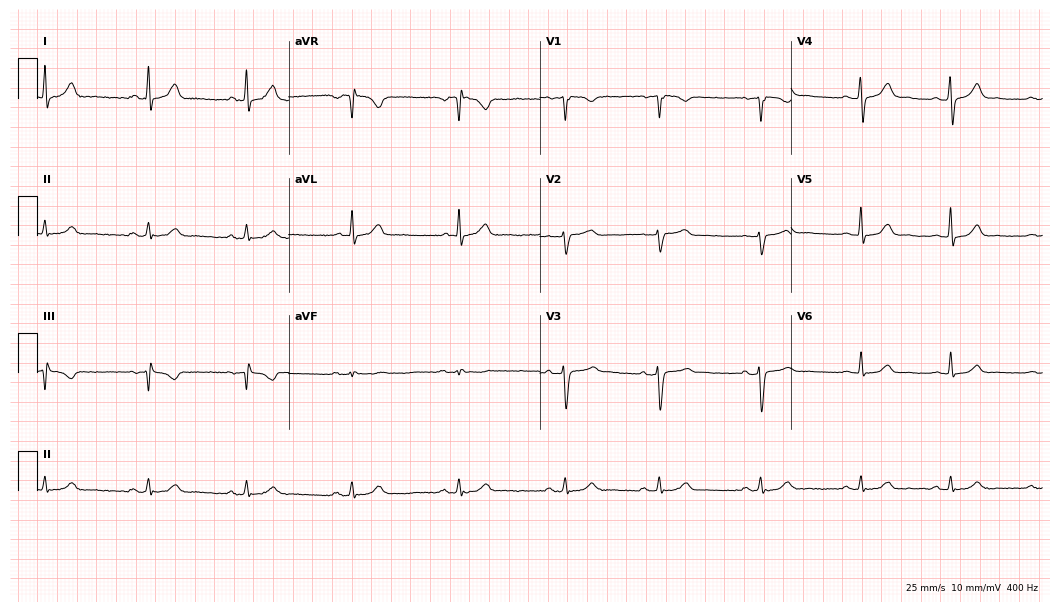
Electrocardiogram, a 31-year-old woman. Overall reading on record: normal ECG.